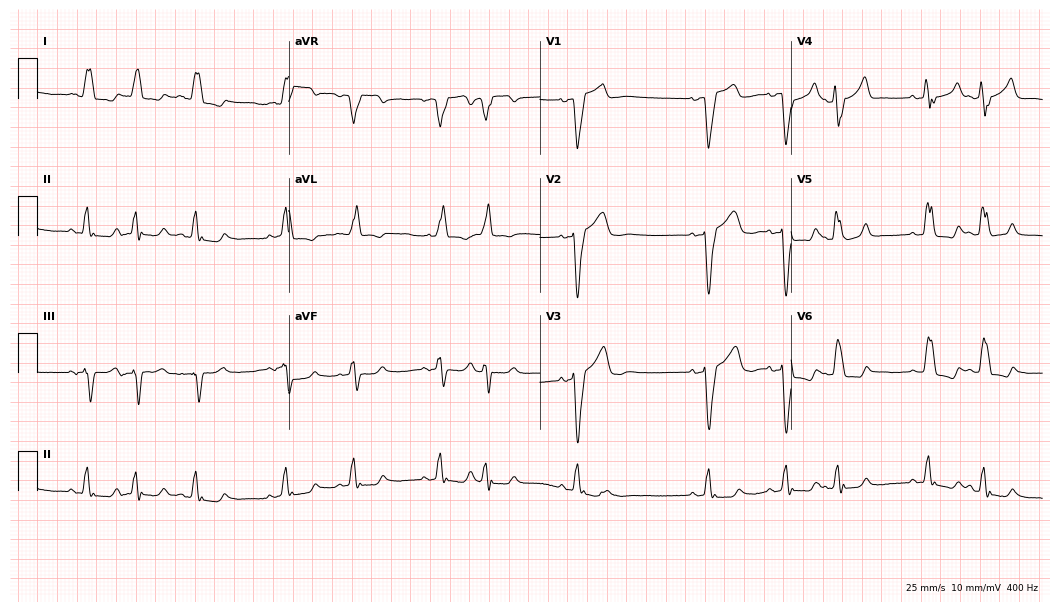
12-lead ECG from a 76-year-old female patient. Findings include left bundle branch block.